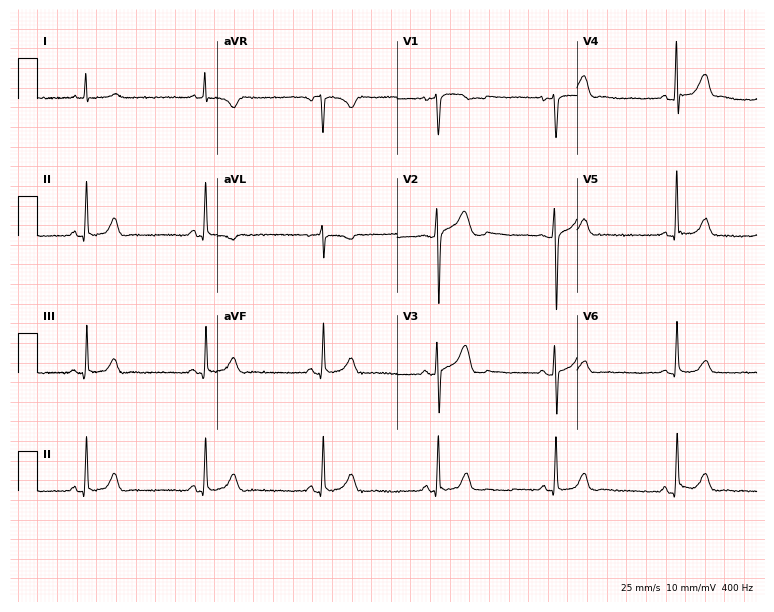
12-lead ECG from a 43-year-old male patient. Labelled as a normal ECG.